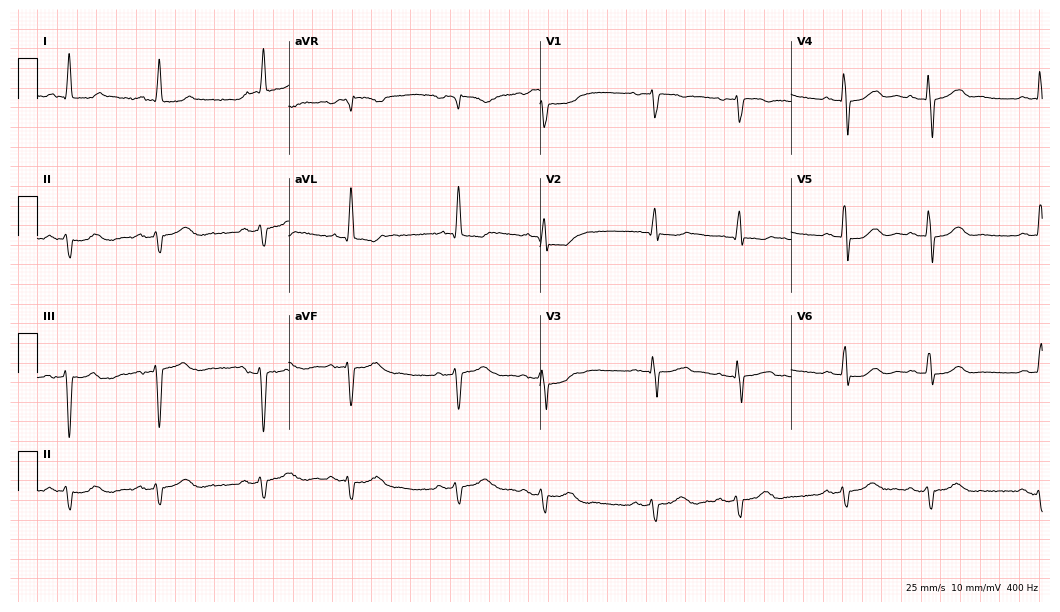
Standard 12-lead ECG recorded from a man, 82 years old (10.2-second recording at 400 Hz). None of these six findings is recorded: first-degree AV block, right bundle branch block (RBBB), left bundle branch block (LBBB), sinus bradycardia, atrial fibrillation (AF), sinus tachycardia.